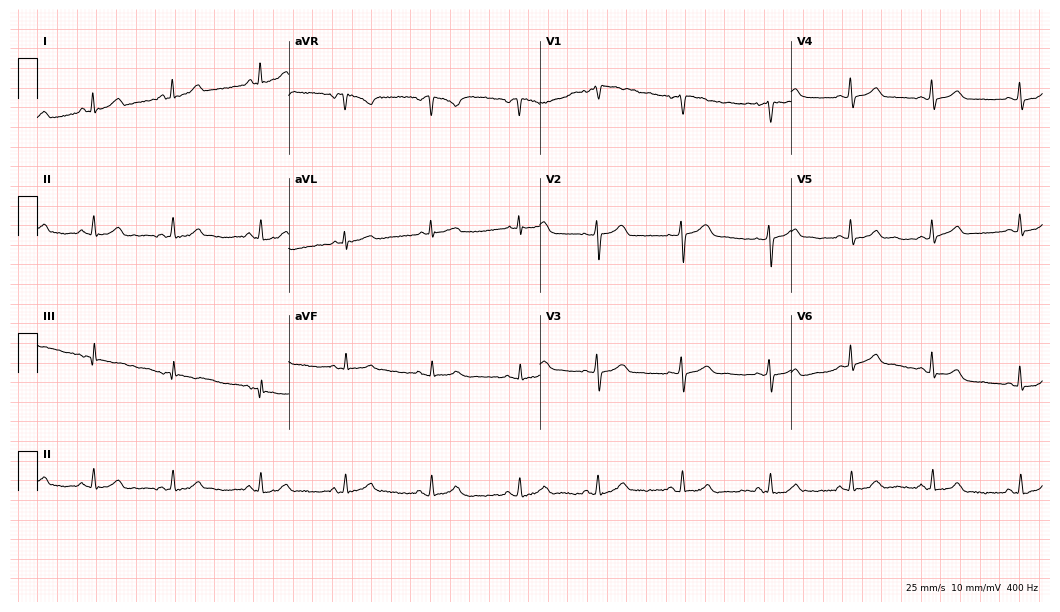
Electrocardiogram, a female, 34 years old. Overall reading on record: normal ECG.